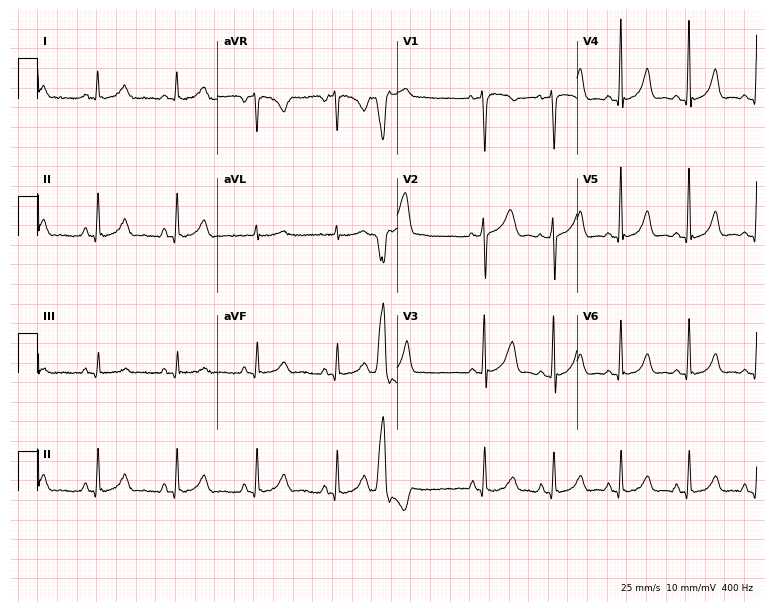
ECG (7.3-second recording at 400 Hz) — a woman, 42 years old. Labelled as a normal ECG.